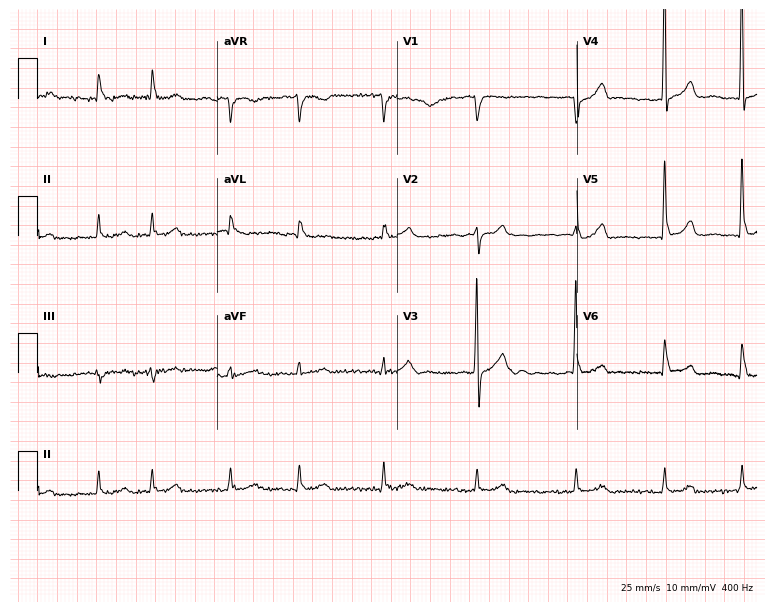
12-lead ECG from an 84-year-old man. Shows atrial fibrillation.